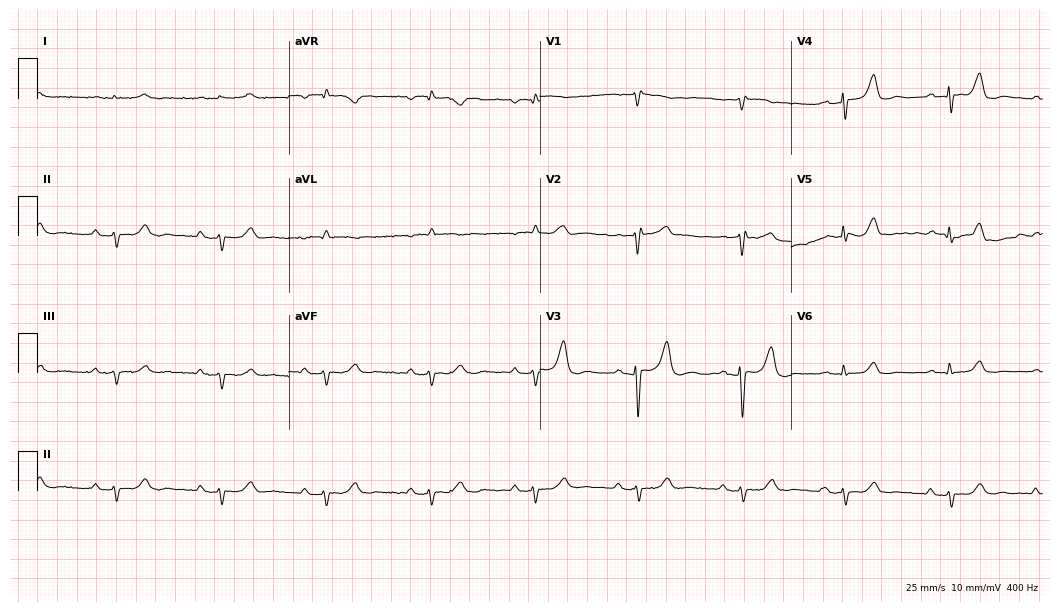
Standard 12-lead ECG recorded from a male, 75 years old. None of these six findings is recorded: first-degree AV block, right bundle branch block, left bundle branch block, sinus bradycardia, atrial fibrillation, sinus tachycardia. Findings outside these six are not listed.